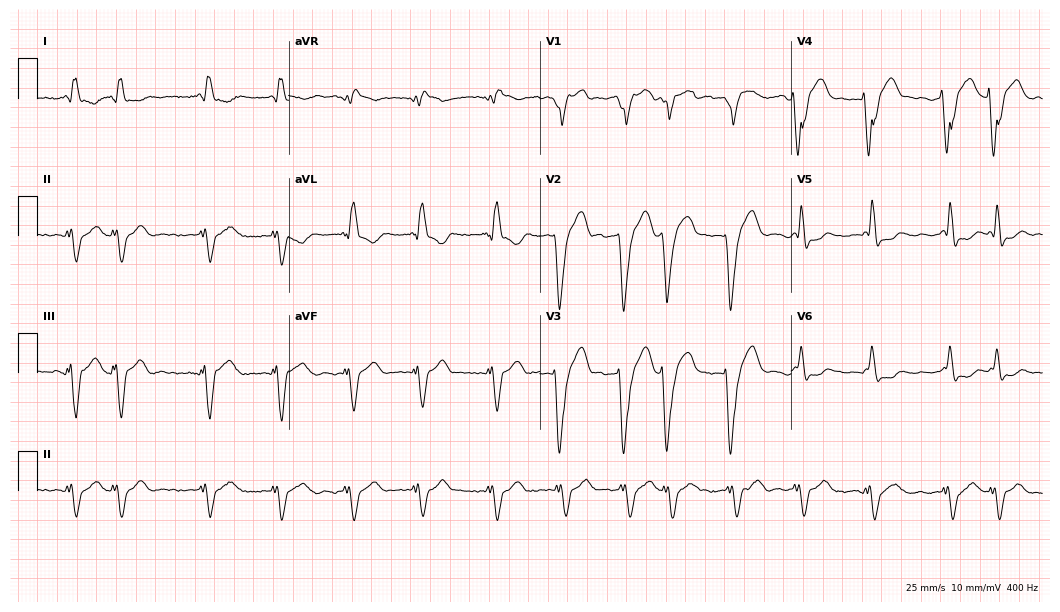
12-lead ECG from a man, 77 years old. Findings include left bundle branch block, atrial fibrillation.